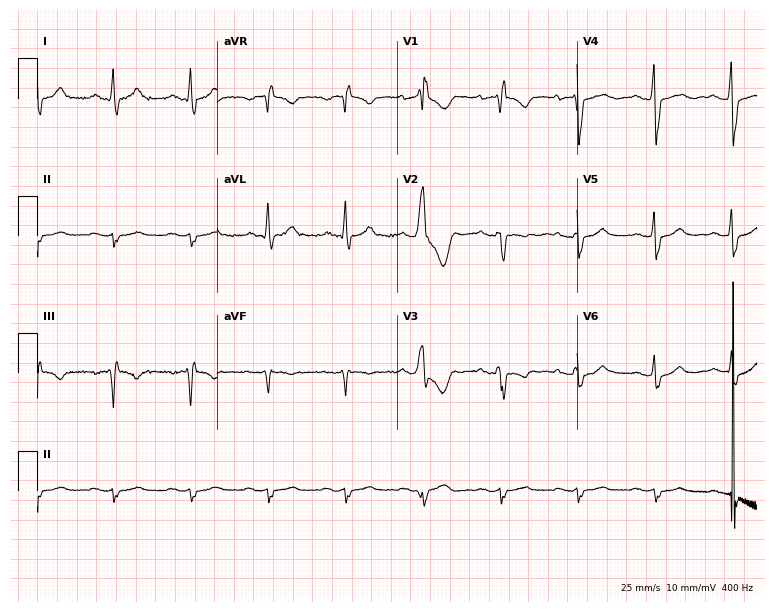
Standard 12-lead ECG recorded from a female patient, 30 years old (7.3-second recording at 400 Hz). The tracing shows right bundle branch block.